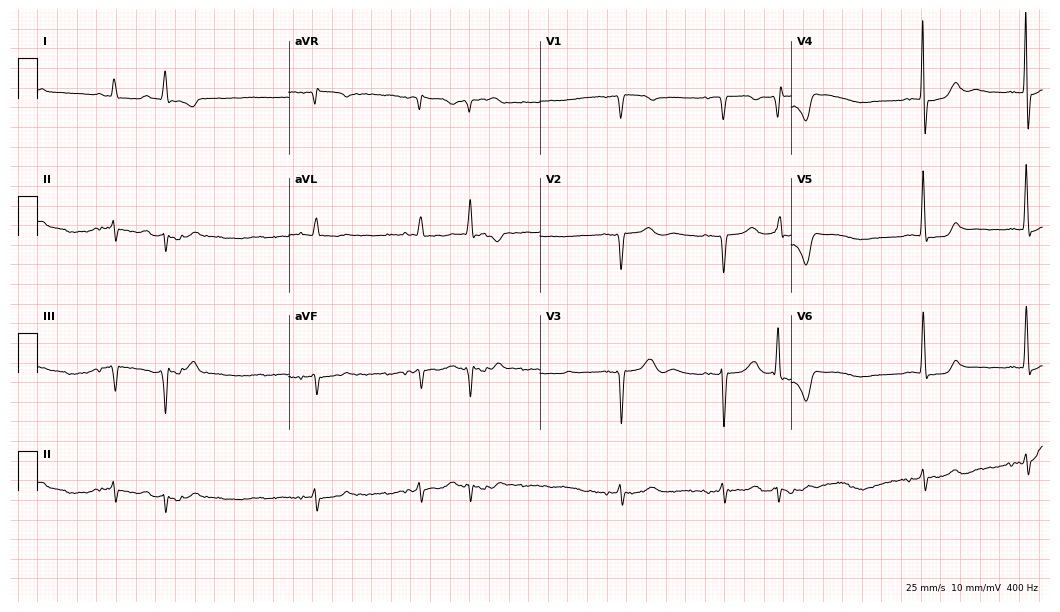
Standard 12-lead ECG recorded from an 83-year-old female patient (10.2-second recording at 400 Hz). None of these six findings is recorded: first-degree AV block, right bundle branch block (RBBB), left bundle branch block (LBBB), sinus bradycardia, atrial fibrillation (AF), sinus tachycardia.